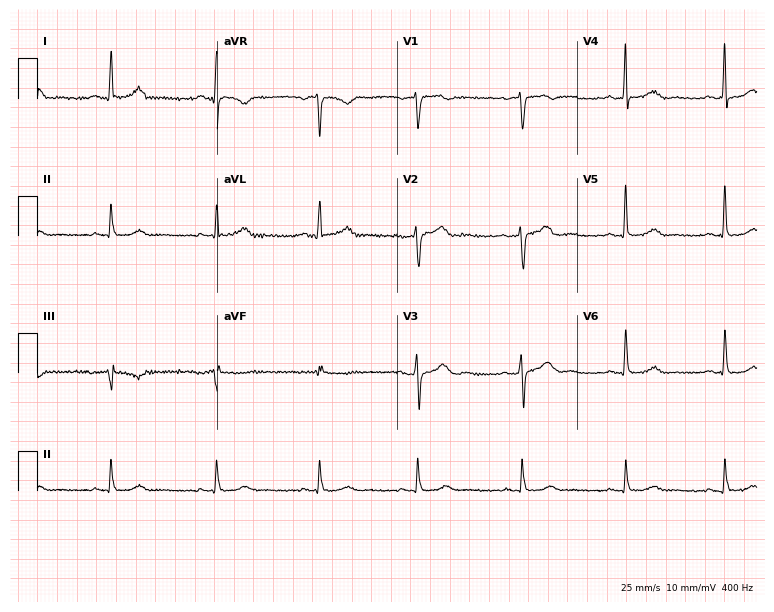
ECG (7.3-second recording at 400 Hz) — a female patient, 58 years old. Screened for six findings — first-degree AV block, right bundle branch block (RBBB), left bundle branch block (LBBB), sinus bradycardia, atrial fibrillation (AF), sinus tachycardia — none is recorded.